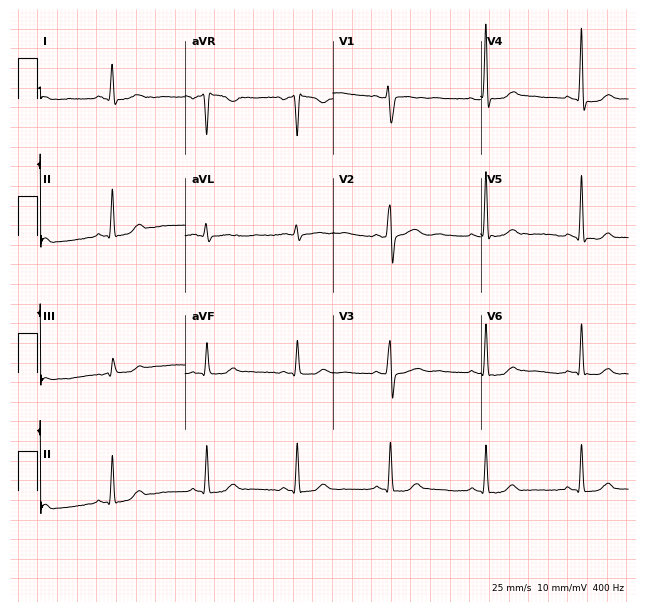
Electrocardiogram, a woman, 53 years old. Of the six screened findings (first-degree AV block, right bundle branch block, left bundle branch block, sinus bradycardia, atrial fibrillation, sinus tachycardia), none is recorded. Findings outside these six are not listed.